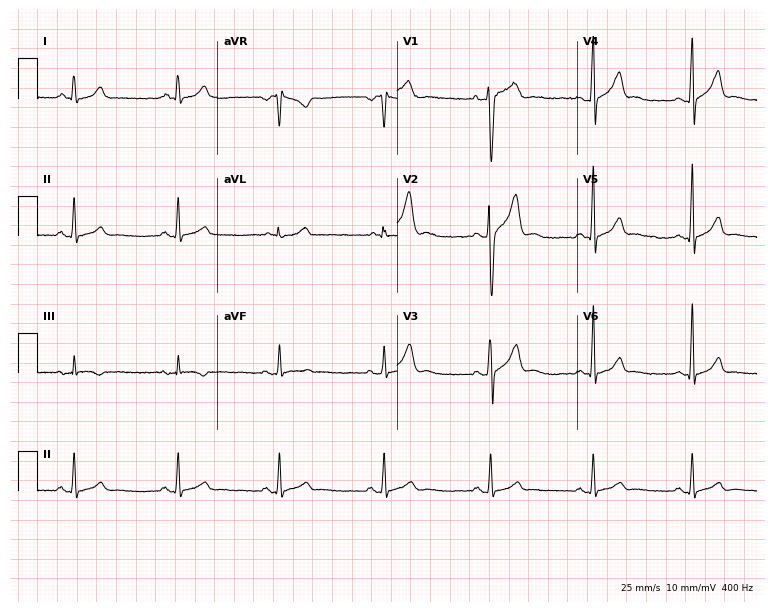
ECG — a male patient, 27 years old. Labelled as a normal ECG.